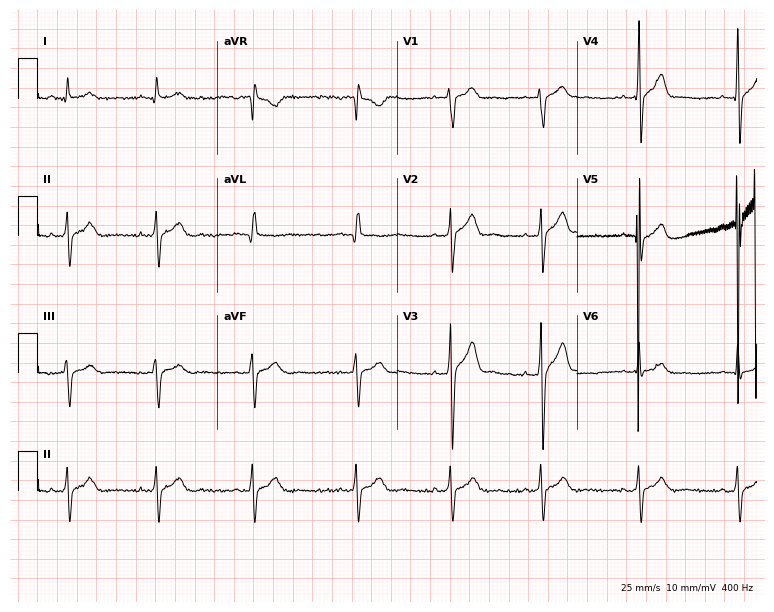
Electrocardiogram, a male patient, 20 years old. Of the six screened findings (first-degree AV block, right bundle branch block, left bundle branch block, sinus bradycardia, atrial fibrillation, sinus tachycardia), none is recorded.